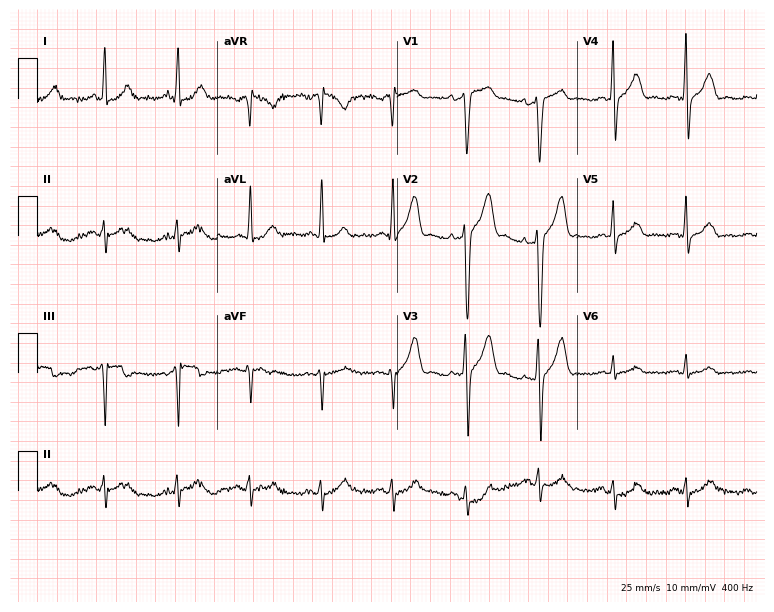
Resting 12-lead electrocardiogram (7.3-second recording at 400 Hz). Patient: a male, 65 years old. None of these six findings is recorded: first-degree AV block, right bundle branch block, left bundle branch block, sinus bradycardia, atrial fibrillation, sinus tachycardia. Other findings, if any, are not listed.